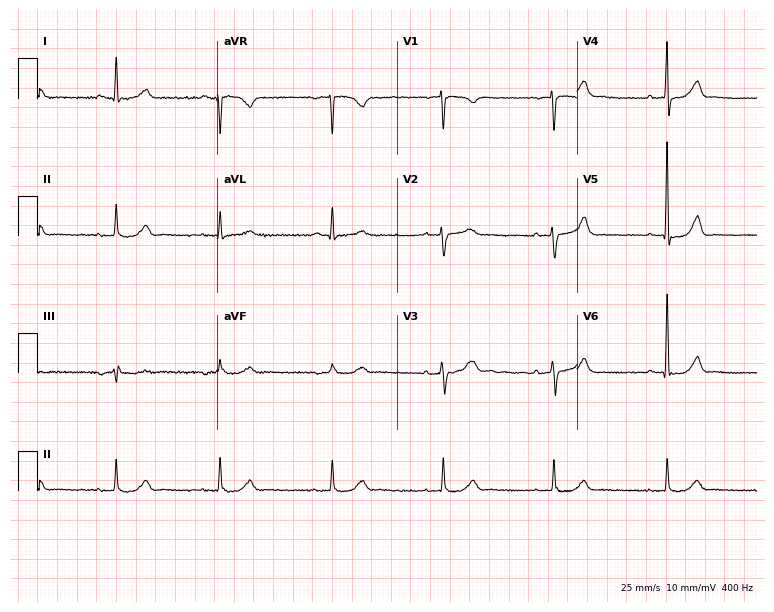
12-lead ECG from a male, 68 years old. No first-degree AV block, right bundle branch block (RBBB), left bundle branch block (LBBB), sinus bradycardia, atrial fibrillation (AF) or sinus tachycardia recorded for this tracing. Other findings, if any, are not listed.